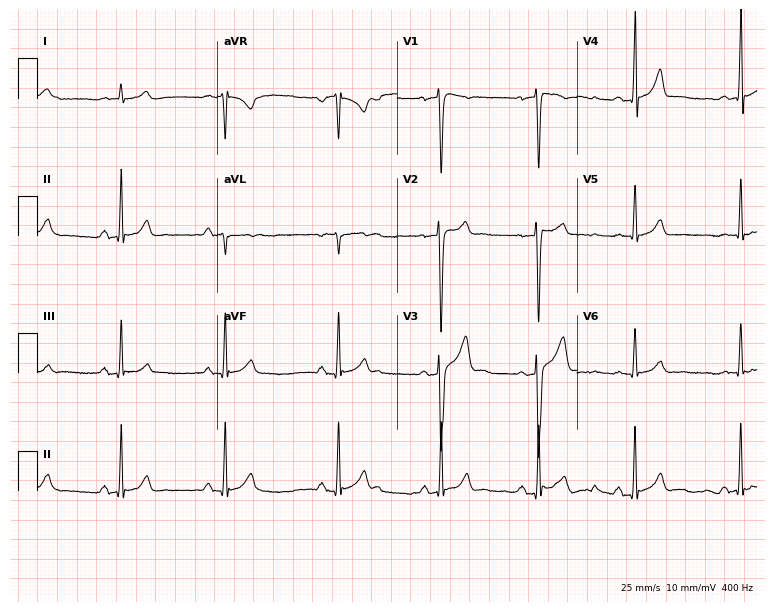
12-lead ECG (7.3-second recording at 400 Hz) from a male patient, 26 years old. Screened for six findings — first-degree AV block, right bundle branch block, left bundle branch block, sinus bradycardia, atrial fibrillation, sinus tachycardia — none is recorded.